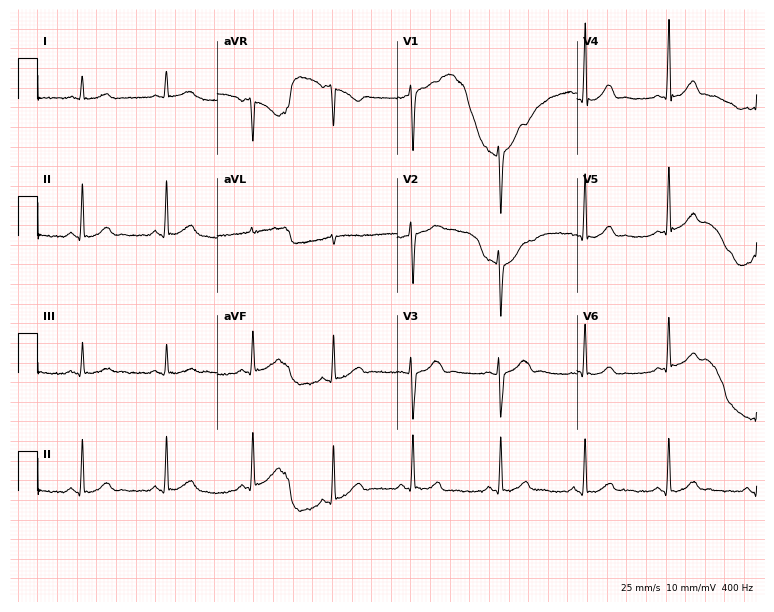
Electrocardiogram (7.3-second recording at 400 Hz), a female, 27 years old. Overall reading on record: normal ECG.